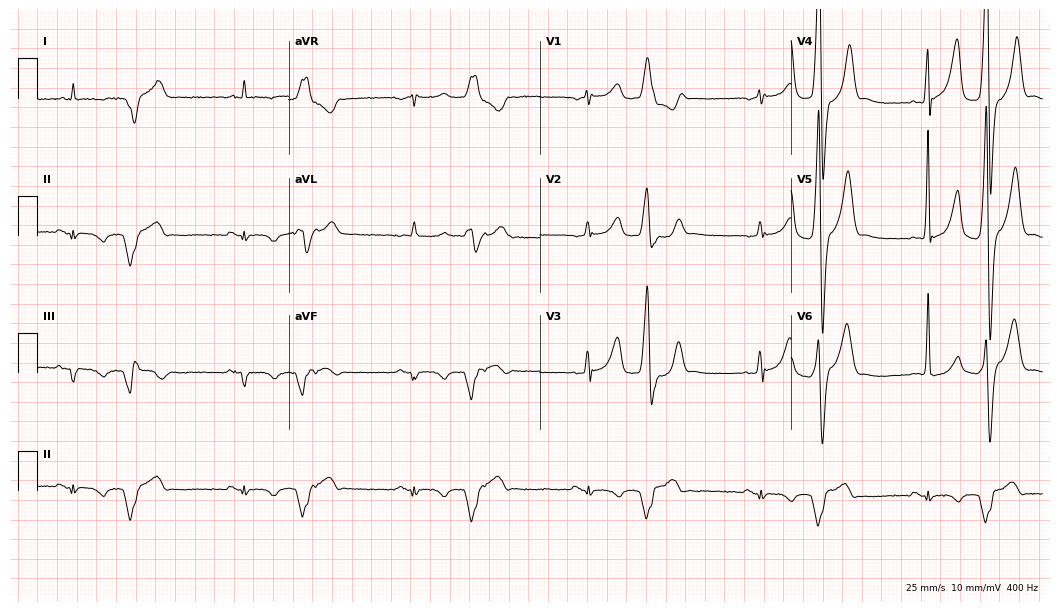
Electrocardiogram (10.2-second recording at 400 Hz), an 81-year-old male patient. Of the six screened findings (first-degree AV block, right bundle branch block, left bundle branch block, sinus bradycardia, atrial fibrillation, sinus tachycardia), none is recorded. Findings outside these six are not listed.